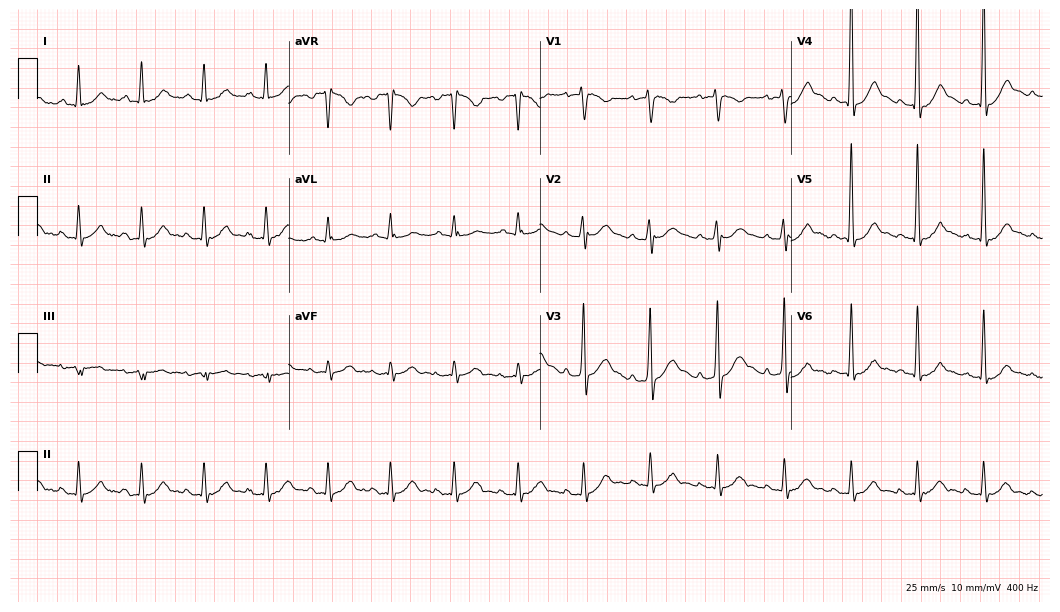
ECG — a 24-year-old male. Labelled as a normal ECG.